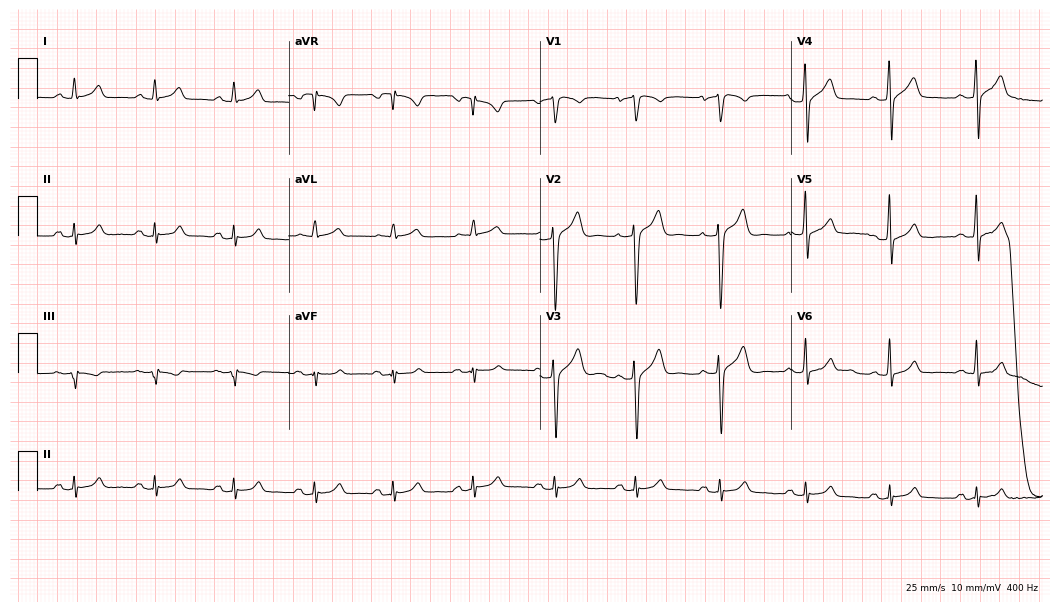
Standard 12-lead ECG recorded from a 47-year-old man (10.2-second recording at 400 Hz). None of these six findings is recorded: first-degree AV block, right bundle branch block, left bundle branch block, sinus bradycardia, atrial fibrillation, sinus tachycardia.